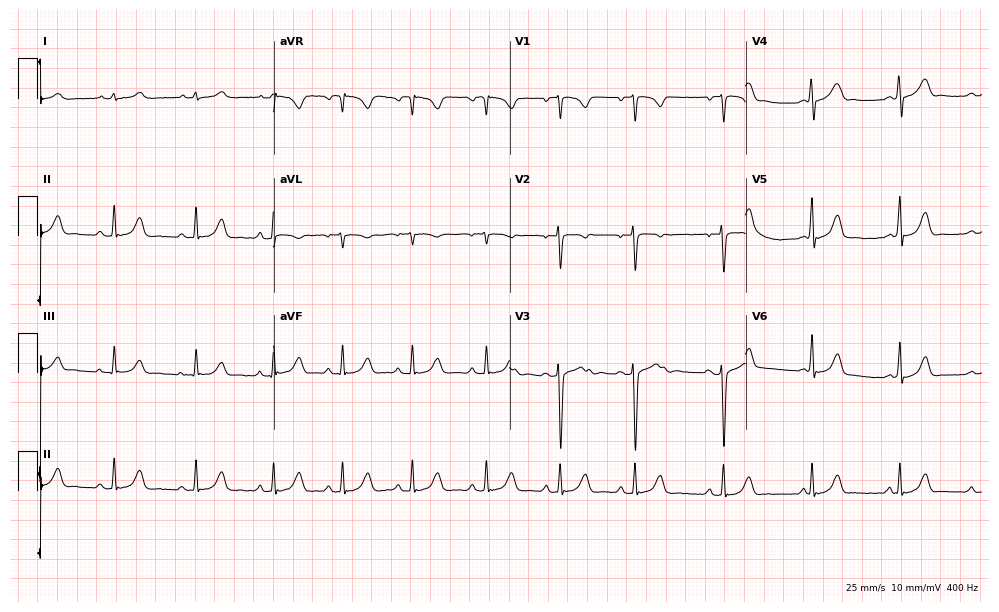
12-lead ECG from a woman, 28 years old. Recorded interpretation: within normal limits.